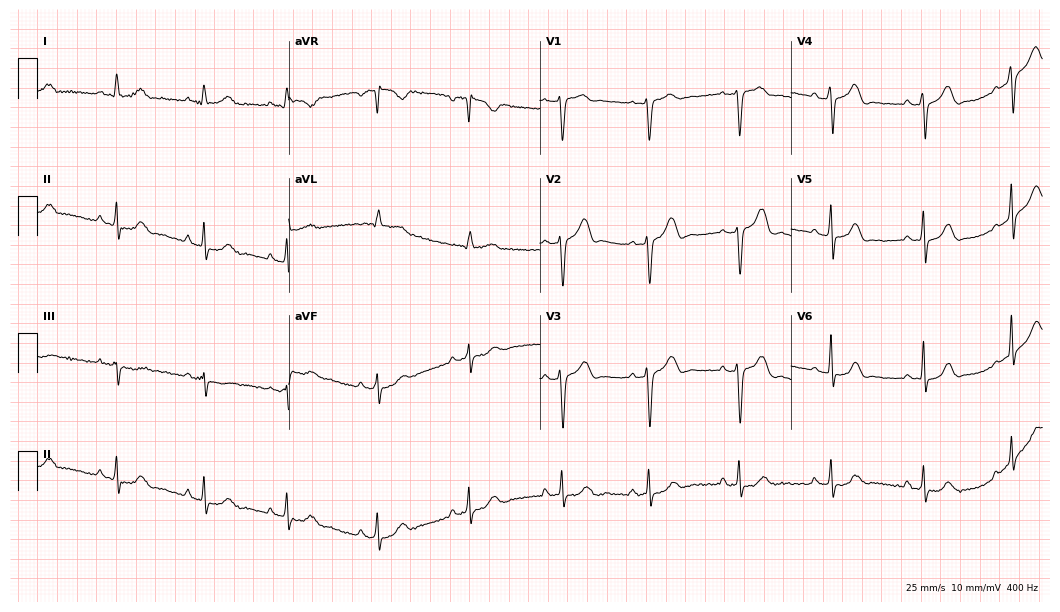
12-lead ECG from a 31-year-old female (10.2-second recording at 400 Hz). Recorded interpretation: within normal limits.